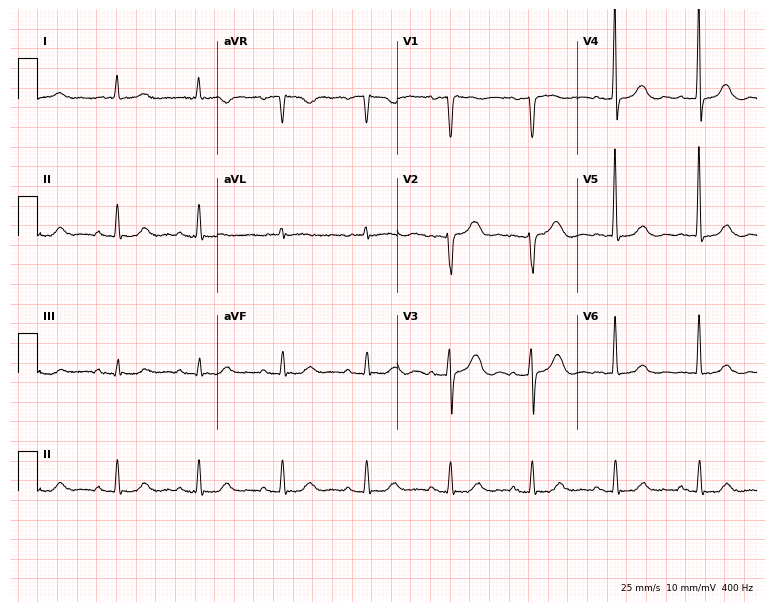
Resting 12-lead electrocardiogram. Patient: a woman, 66 years old. None of these six findings is recorded: first-degree AV block, right bundle branch block, left bundle branch block, sinus bradycardia, atrial fibrillation, sinus tachycardia.